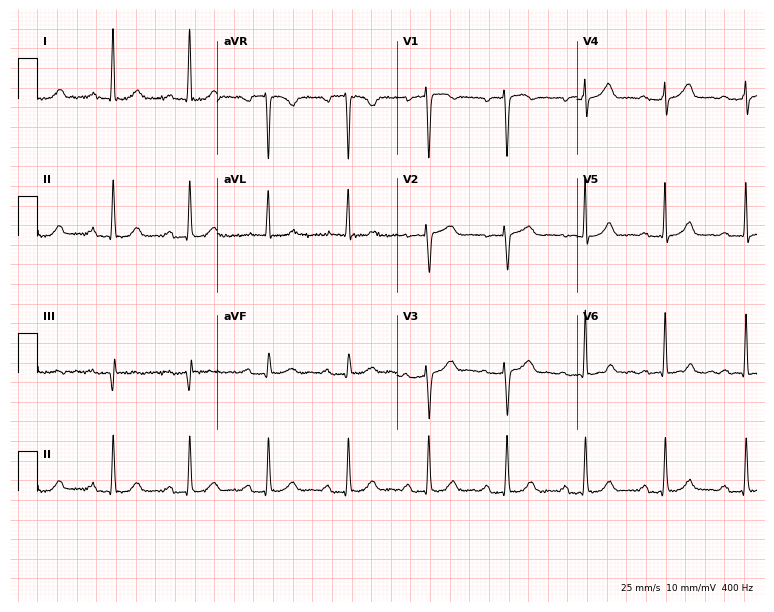
Electrocardiogram, a 71-year-old female patient. Interpretation includes first-degree AV block.